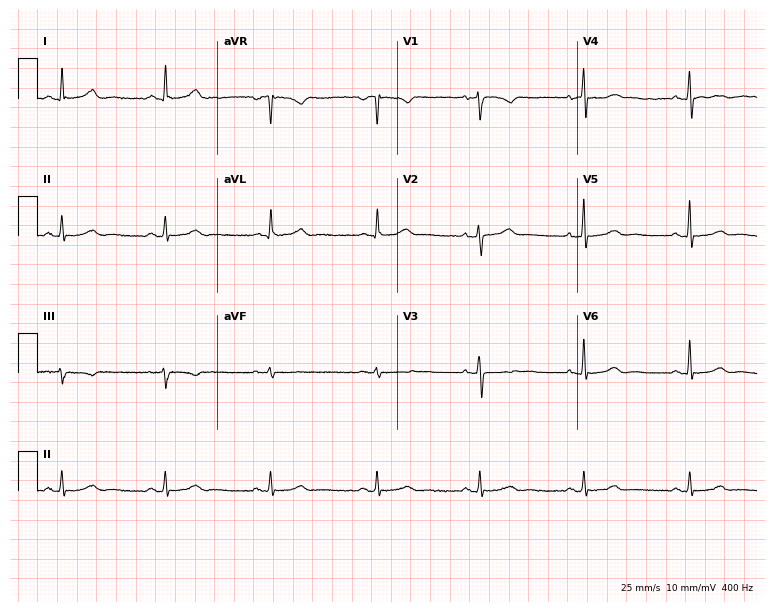
Standard 12-lead ECG recorded from a male patient, 56 years old (7.3-second recording at 400 Hz). Read as a normal ECG.